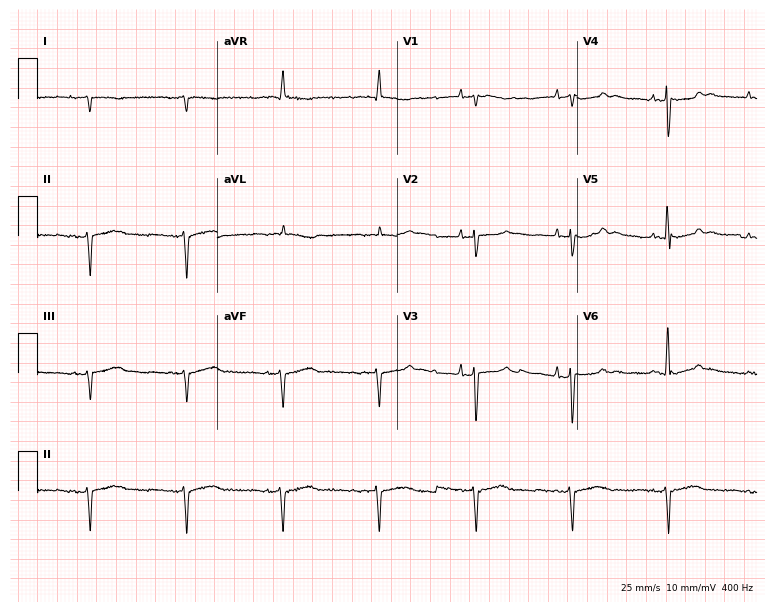
Electrocardiogram, a 79-year-old male. Of the six screened findings (first-degree AV block, right bundle branch block, left bundle branch block, sinus bradycardia, atrial fibrillation, sinus tachycardia), none is recorded. Other findings, if any, are not listed.